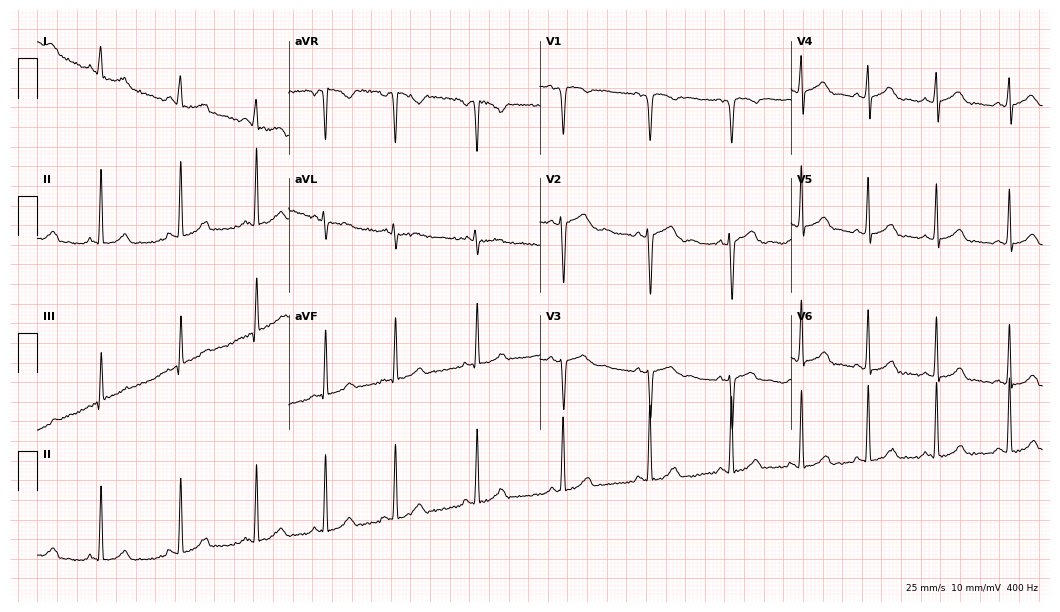
ECG (10.2-second recording at 400 Hz) — a female patient, 24 years old. Screened for six findings — first-degree AV block, right bundle branch block, left bundle branch block, sinus bradycardia, atrial fibrillation, sinus tachycardia — none is recorded.